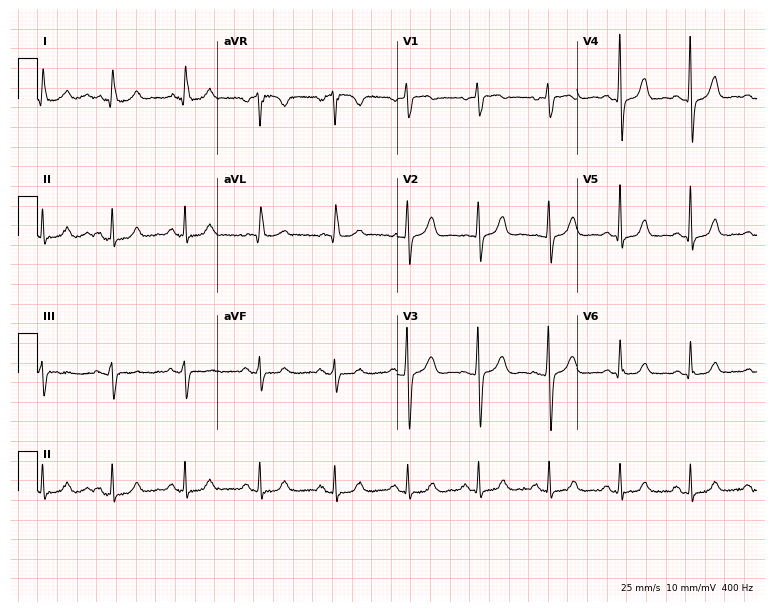
Standard 12-lead ECG recorded from a female, 61 years old (7.3-second recording at 400 Hz). None of these six findings is recorded: first-degree AV block, right bundle branch block, left bundle branch block, sinus bradycardia, atrial fibrillation, sinus tachycardia.